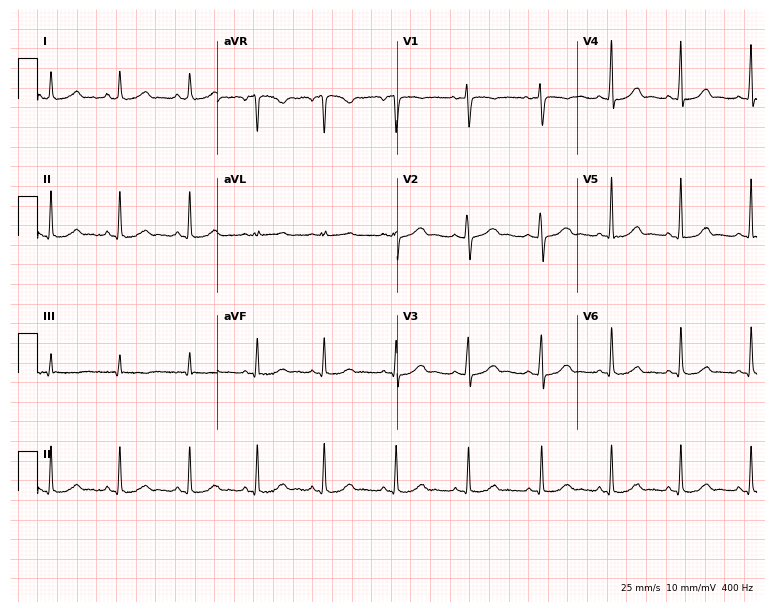
Resting 12-lead electrocardiogram. Patient: a 29-year-old woman. Read as a normal ECG.